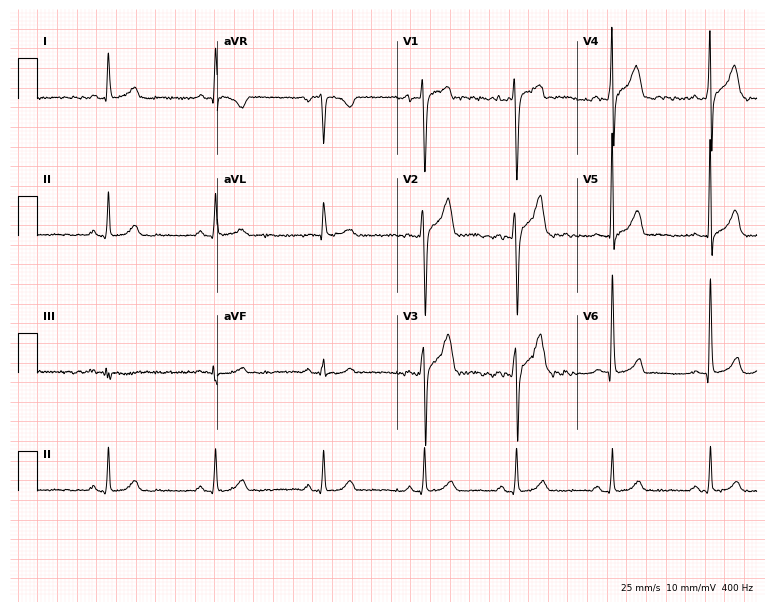
Standard 12-lead ECG recorded from a man, 35 years old. Read as a normal ECG.